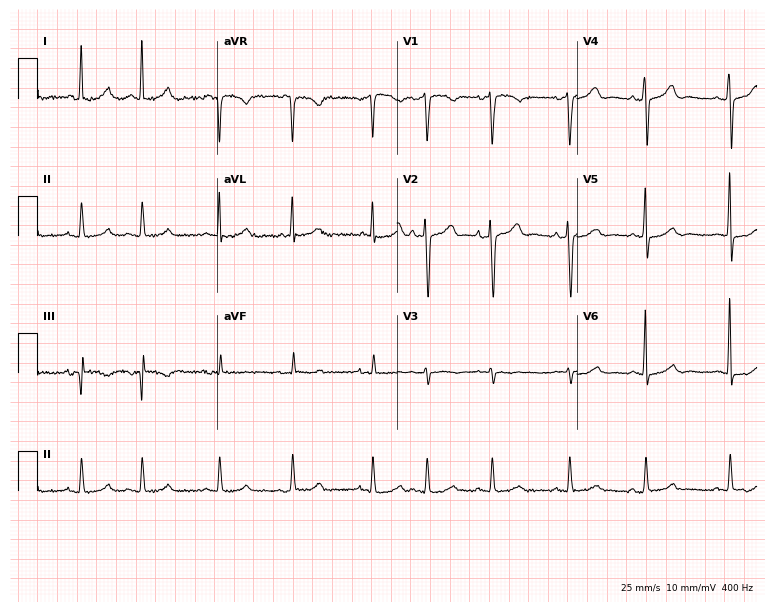
12-lead ECG from a female, 69 years old. Labelled as a normal ECG.